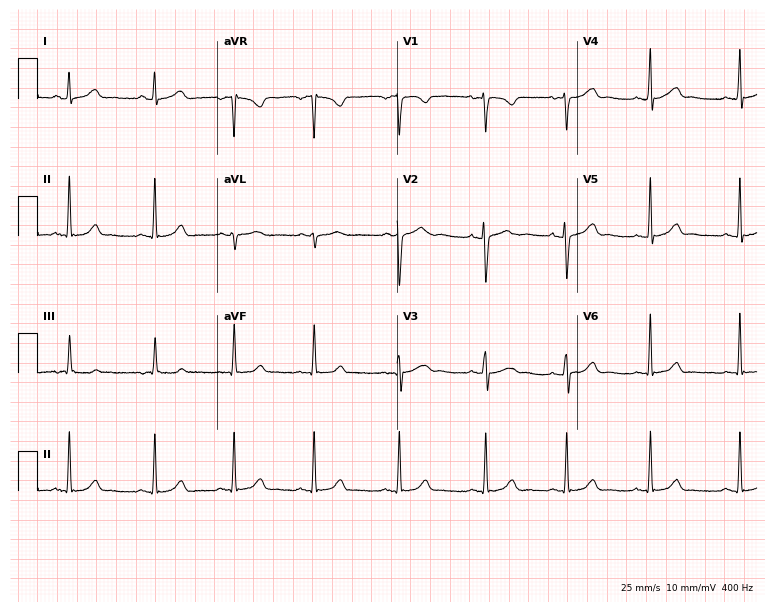
ECG (7.3-second recording at 400 Hz) — a 20-year-old female. Labelled as a normal ECG.